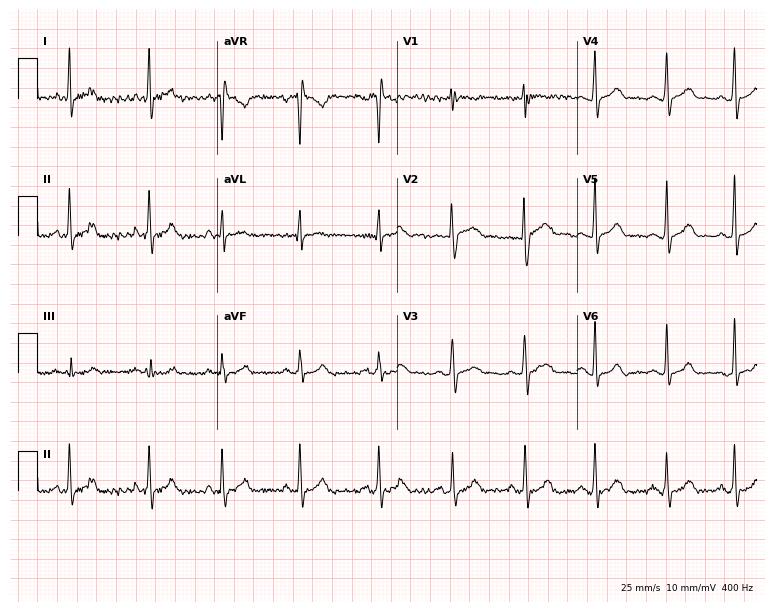
12-lead ECG from a 28-year-old woman. Screened for six findings — first-degree AV block, right bundle branch block, left bundle branch block, sinus bradycardia, atrial fibrillation, sinus tachycardia — none is recorded.